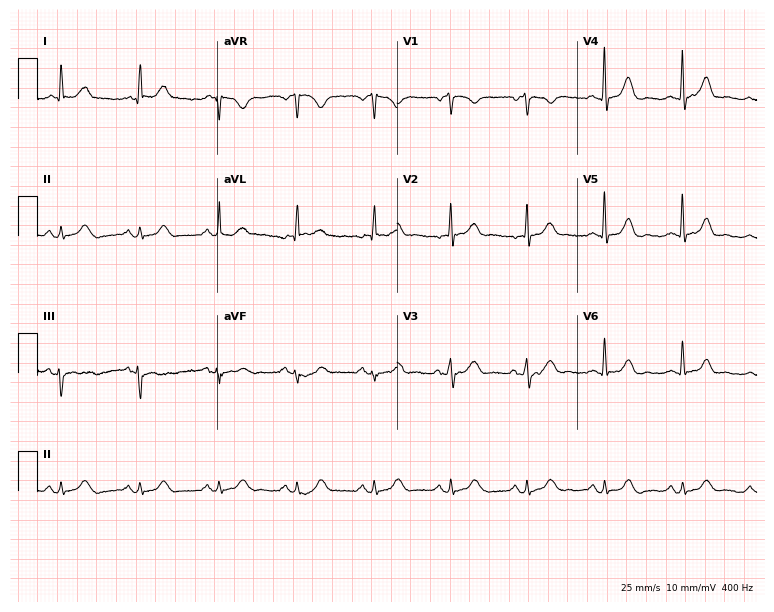
Resting 12-lead electrocardiogram. Patient: a 71-year-old man. None of these six findings is recorded: first-degree AV block, right bundle branch block (RBBB), left bundle branch block (LBBB), sinus bradycardia, atrial fibrillation (AF), sinus tachycardia. Other findings, if any, are not listed.